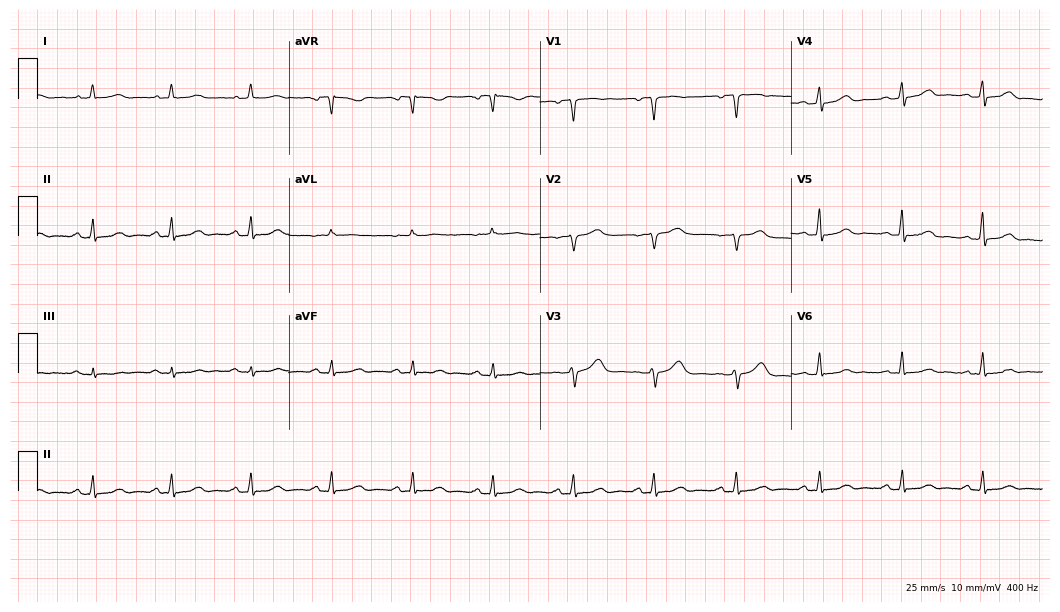
Resting 12-lead electrocardiogram. Patient: a female, 46 years old. Read as a normal ECG.